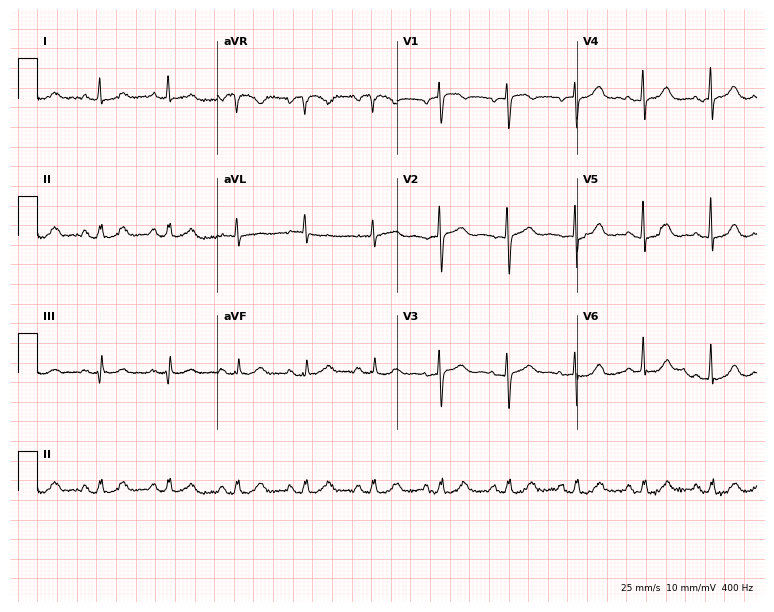
Standard 12-lead ECG recorded from an 83-year-old female patient (7.3-second recording at 400 Hz). Read as a normal ECG.